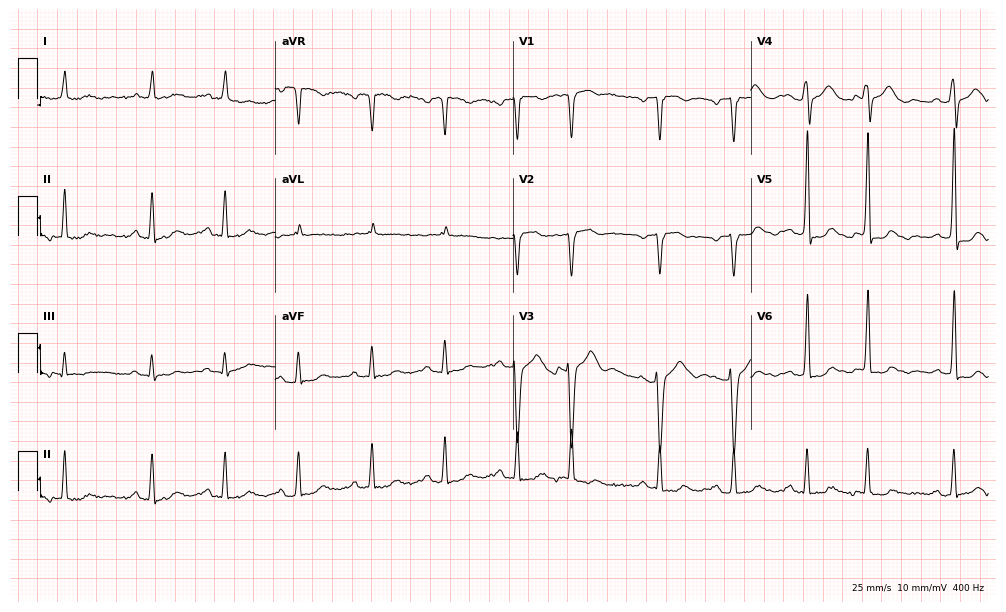
Electrocardiogram (9.7-second recording at 400 Hz), a female patient, 69 years old. Of the six screened findings (first-degree AV block, right bundle branch block, left bundle branch block, sinus bradycardia, atrial fibrillation, sinus tachycardia), none is recorded. Findings outside these six are not listed.